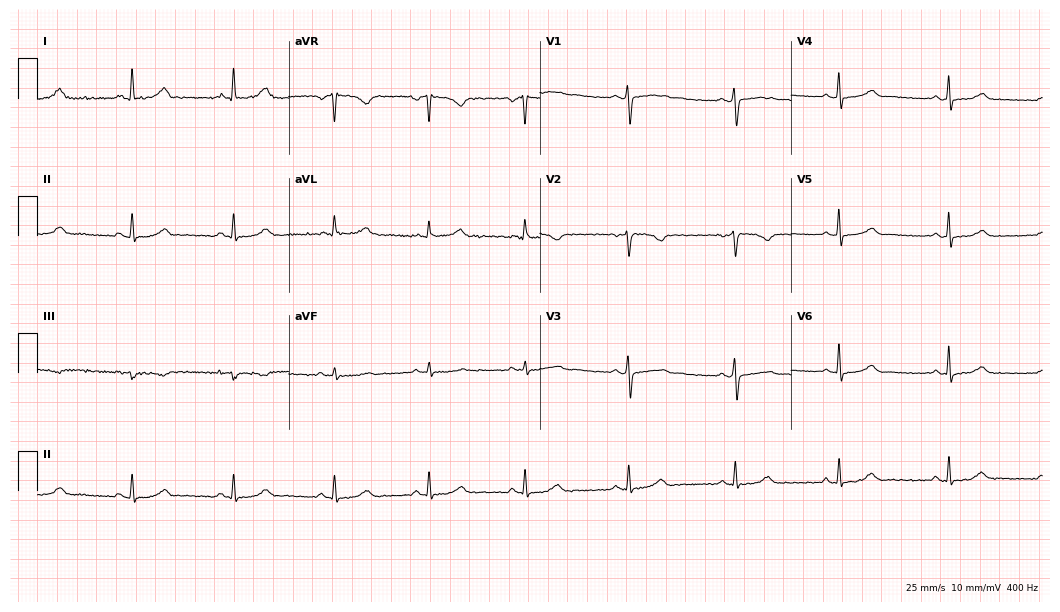
12-lead ECG from a 39-year-old female. Recorded interpretation: within normal limits.